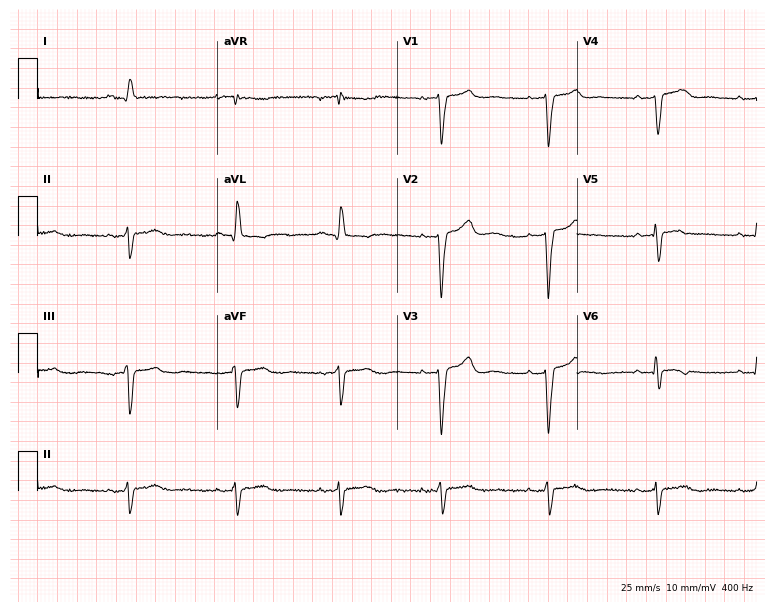
Electrocardiogram (7.3-second recording at 400 Hz), a 35-year-old woman. Of the six screened findings (first-degree AV block, right bundle branch block, left bundle branch block, sinus bradycardia, atrial fibrillation, sinus tachycardia), none is recorded. Only these six findings were labelled.